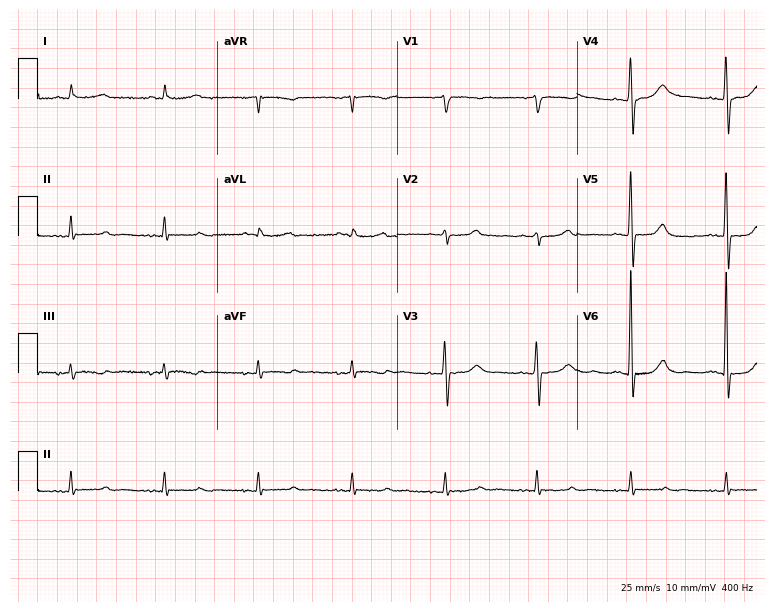
Standard 12-lead ECG recorded from a 72-year-old male. Read as a normal ECG.